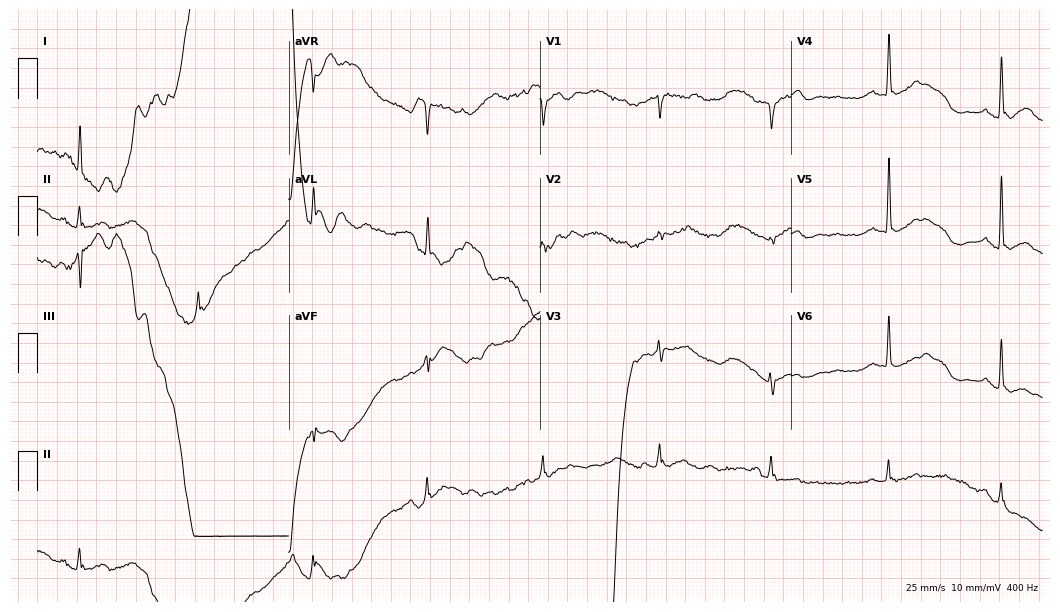
ECG — an 85-year-old woman. Screened for six findings — first-degree AV block, right bundle branch block, left bundle branch block, sinus bradycardia, atrial fibrillation, sinus tachycardia — none is recorded.